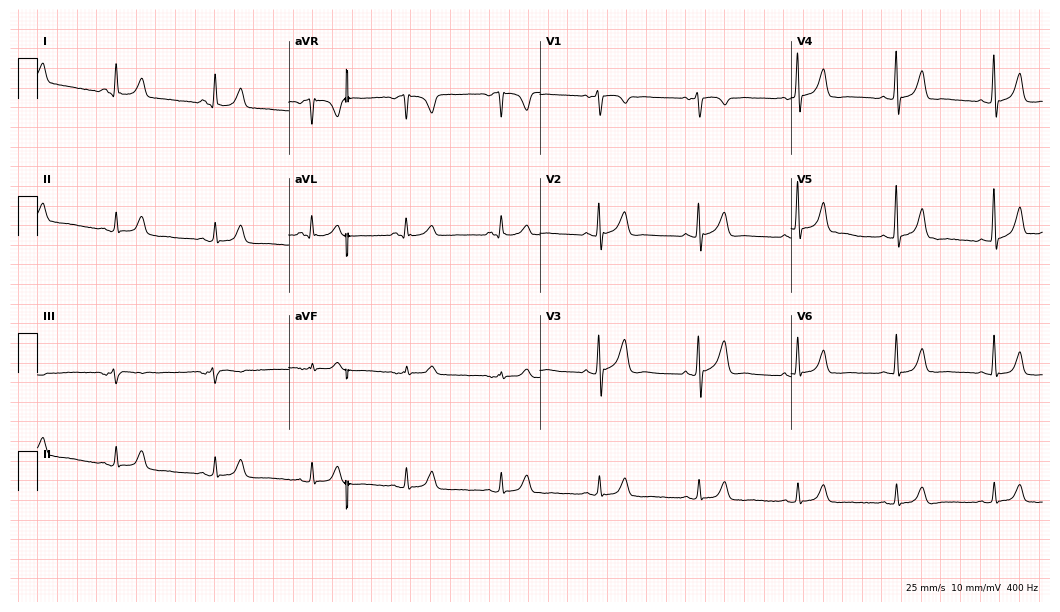
Electrocardiogram, a 65-year-old male patient. Overall reading on record: normal ECG.